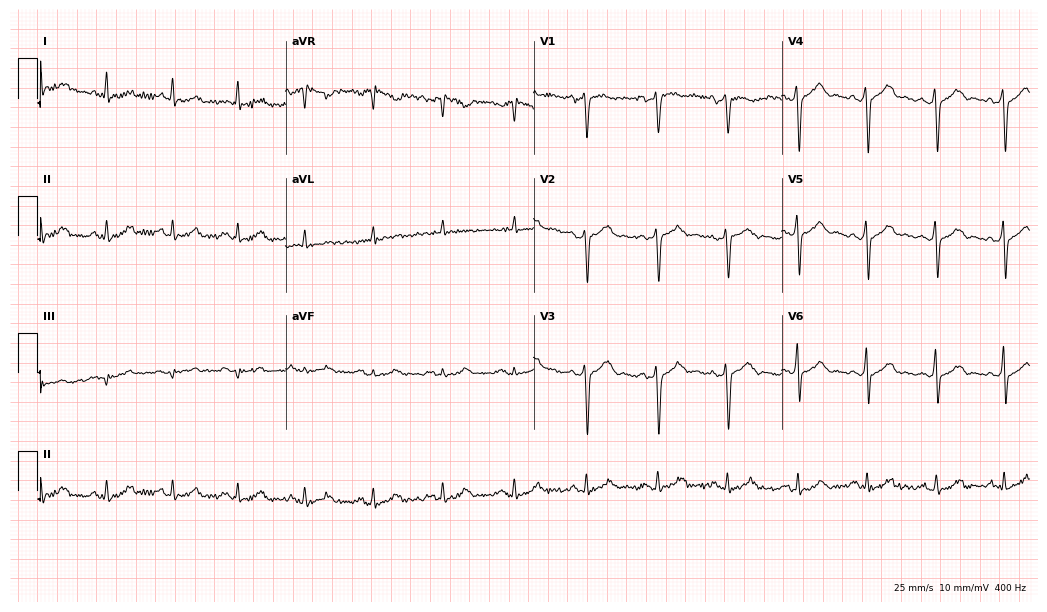
Standard 12-lead ECG recorded from a man, 60 years old (10.1-second recording at 400 Hz). None of these six findings is recorded: first-degree AV block, right bundle branch block, left bundle branch block, sinus bradycardia, atrial fibrillation, sinus tachycardia.